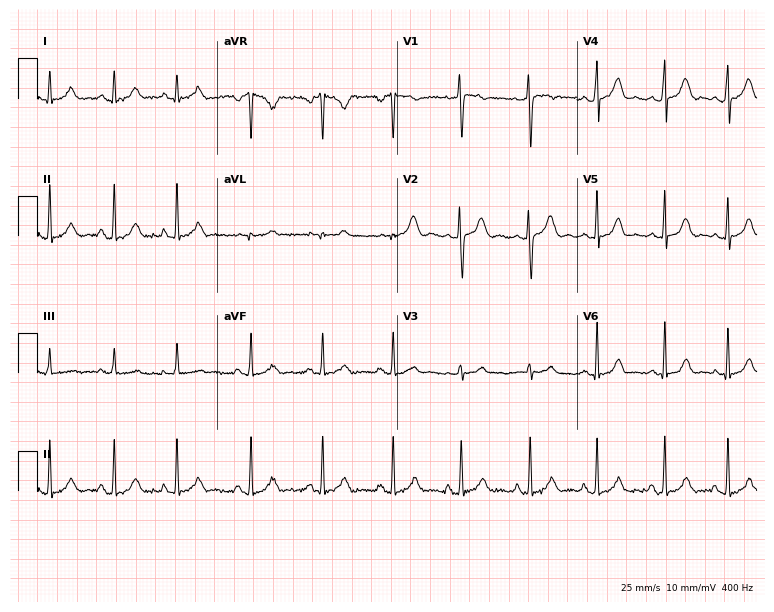
ECG — a woman, 20 years old. Labelled as a normal ECG.